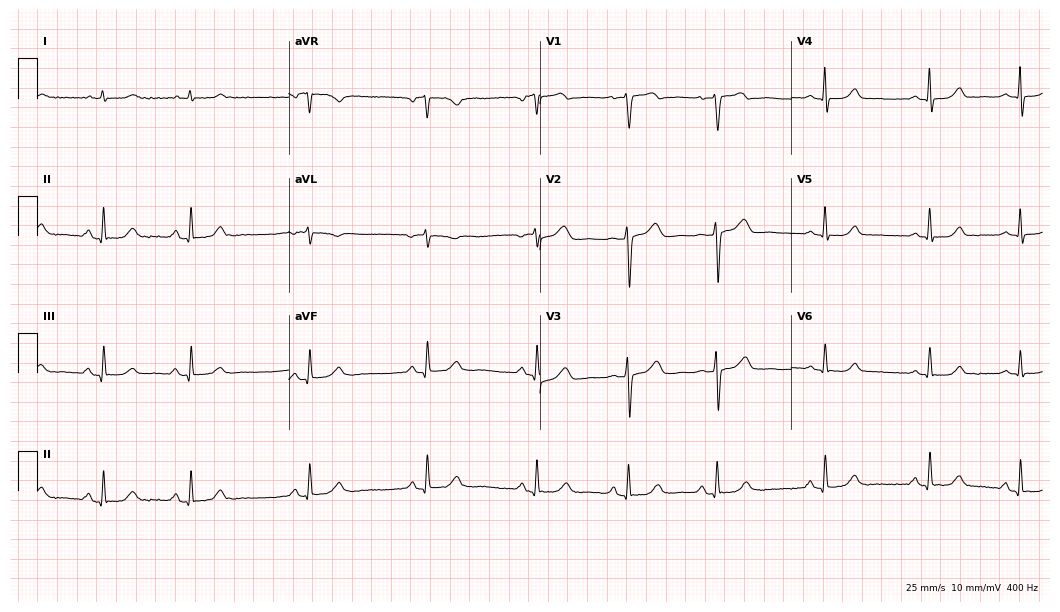
12-lead ECG (10.2-second recording at 400 Hz) from a female patient, 48 years old. Screened for six findings — first-degree AV block, right bundle branch block, left bundle branch block, sinus bradycardia, atrial fibrillation, sinus tachycardia — none is recorded.